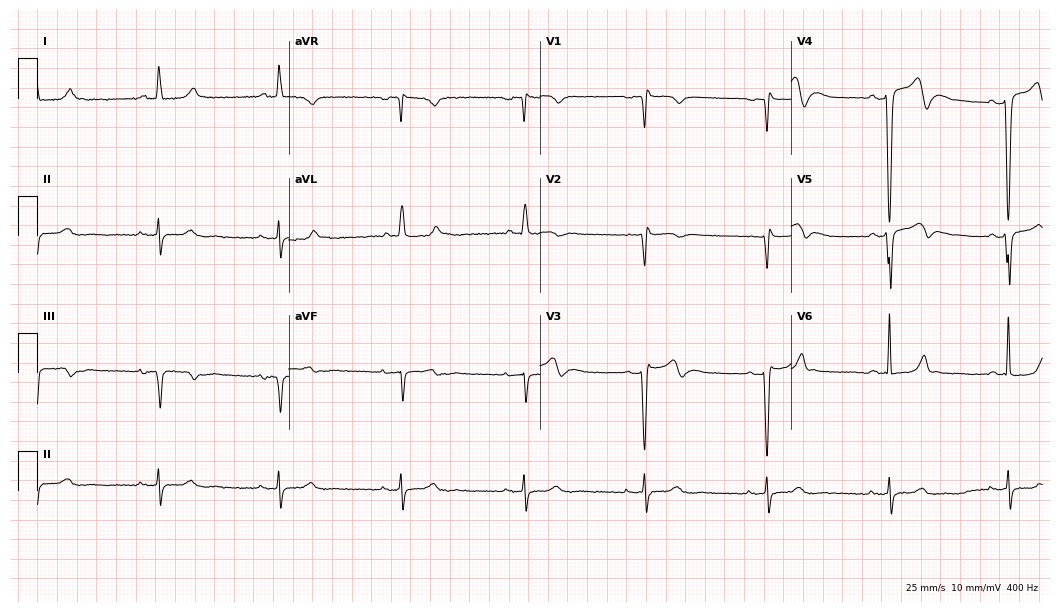
Resting 12-lead electrocardiogram. Patient: a male, 69 years old. The tracing shows right bundle branch block (RBBB).